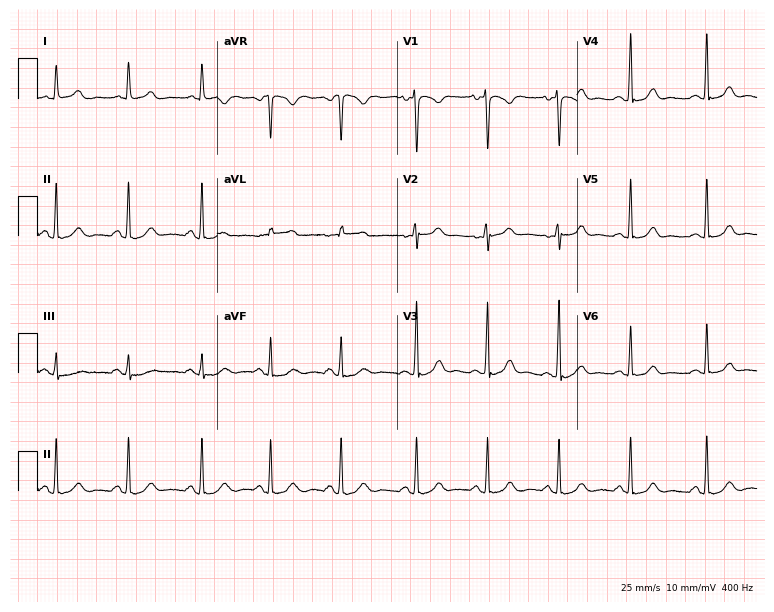
Standard 12-lead ECG recorded from a female, 23 years old. Read as a normal ECG.